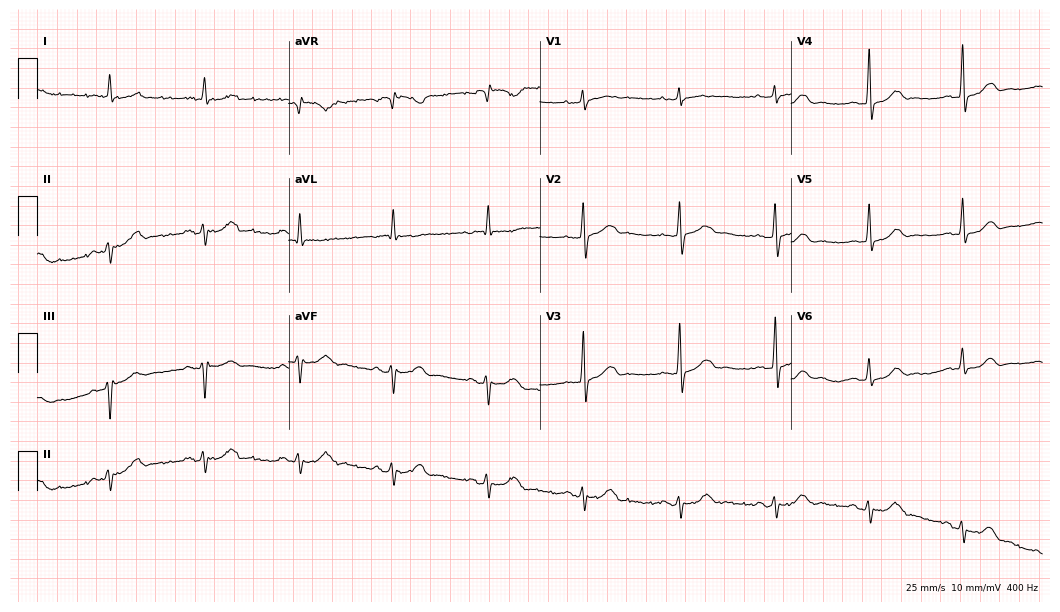
Standard 12-lead ECG recorded from a male patient, 85 years old. None of these six findings is recorded: first-degree AV block, right bundle branch block, left bundle branch block, sinus bradycardia, atrial fibrillation, sinus tachycardia. Only these six findings were labelled.